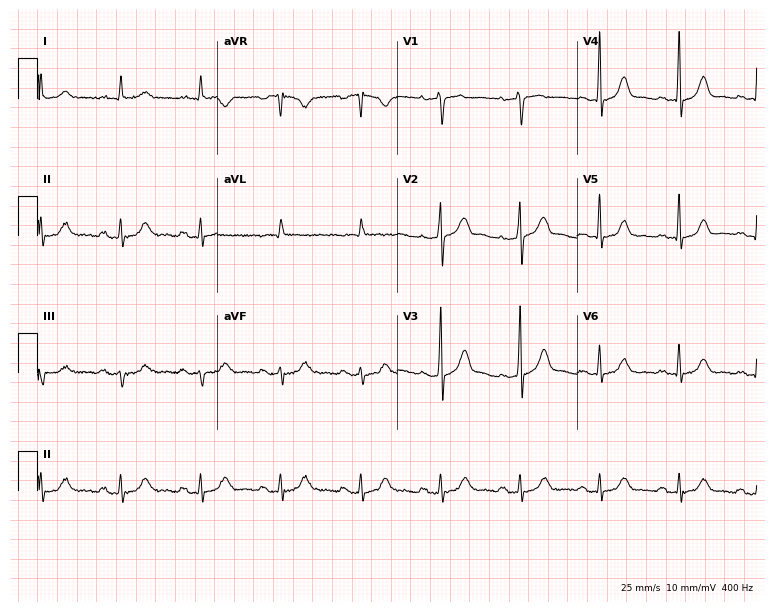
Standard 12-lead ECG recorded from a 62-year-old male patient (7.3-second recording at 400 Hz). Read as a normal ECG.